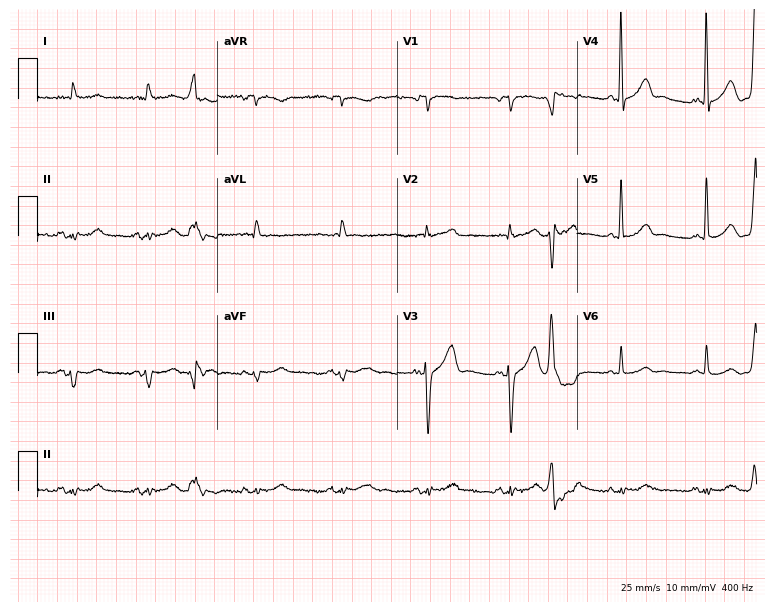
ECG (7.3-second recording at 400 Hz) — a male patient, 82 years old. Labelled as a normal ECG.